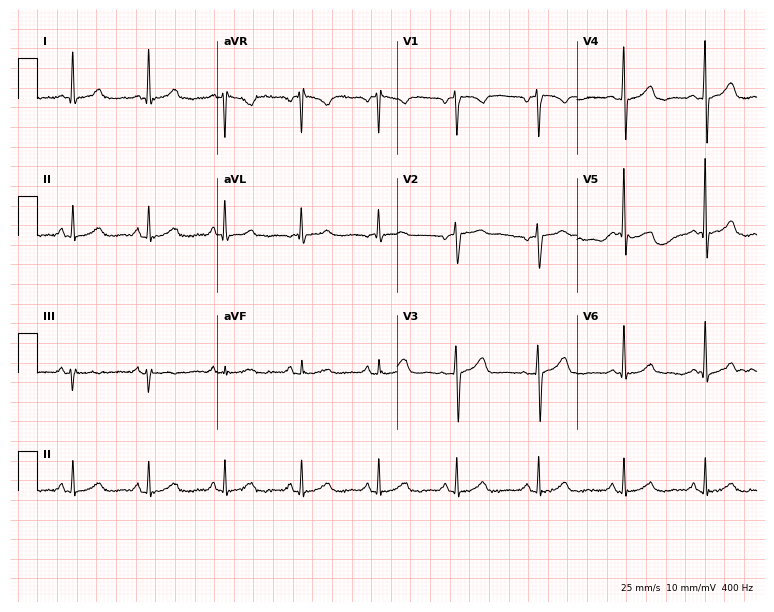
Electrocardiogram (7.3-second recording at 400 Hz), a female patient, 61 years old. Overall reading on record: normal ECG.